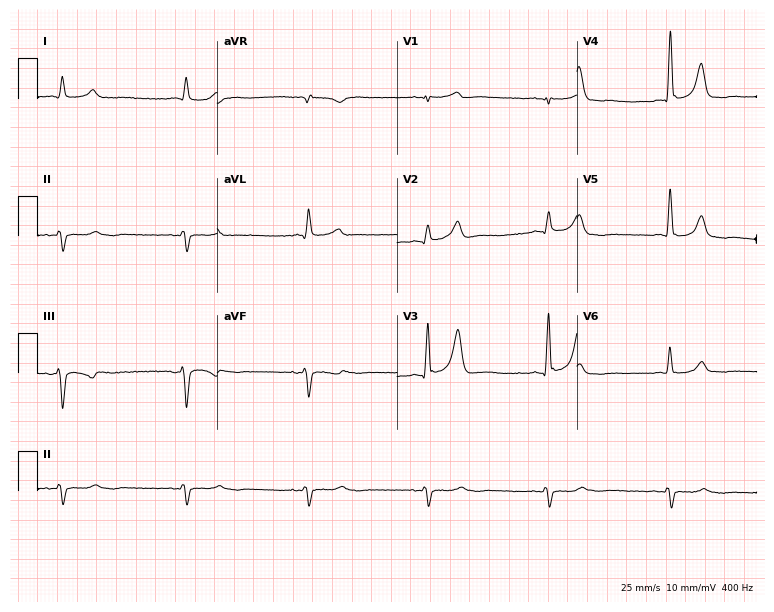
12-lead ECG from a man, 82 years old. Shows sinus bradycardia (a sinus rate of 50 beats per minute or less).